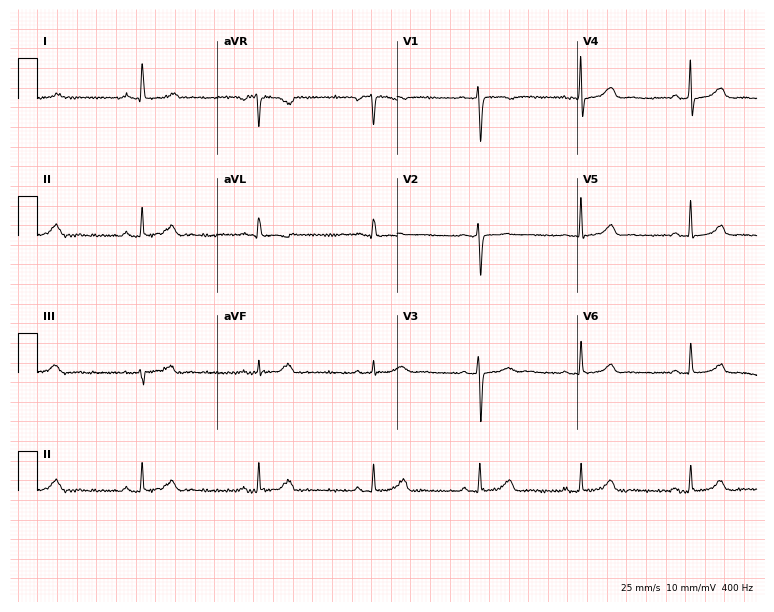
Electrocardiogram, a 41-year-old female patient. Of the six screened findings (first-degree AV block, right bundle branch block, left bundle branch block, sinus bradycardia, atrial fibrillation, sinus tachycardia), none is recorded. Findings outside these six are not listed.